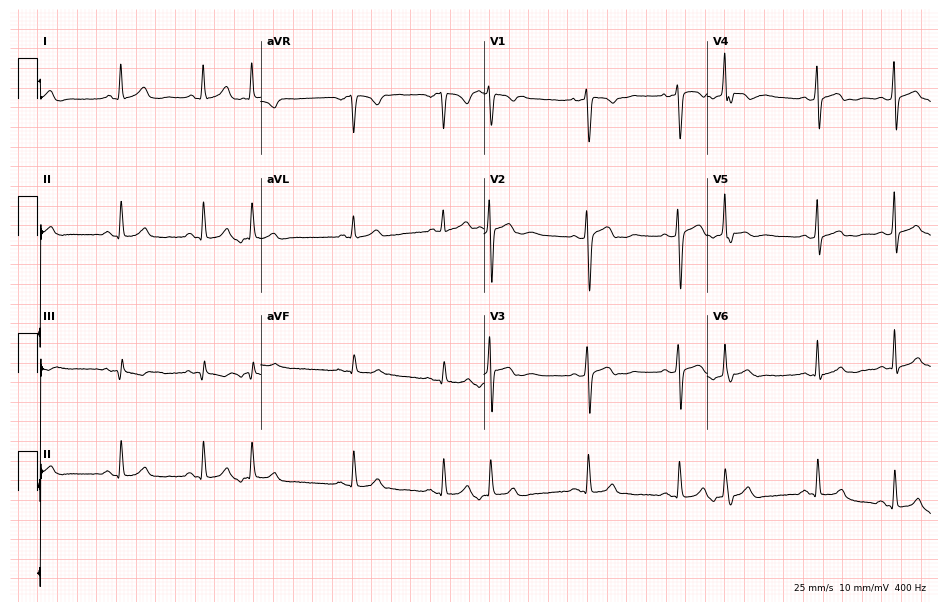
Resting 12-lead electrocardiogram (9.1-second recording at 400 Hz). Patient: a 27-year-old woman. None of these six findings is recorded: first-degree AV block, right bundle branch block (RBBB), left bundle branch block (LBBB), sinus bradycardia, atrial fibrillation (AF), sinus tachycardia.